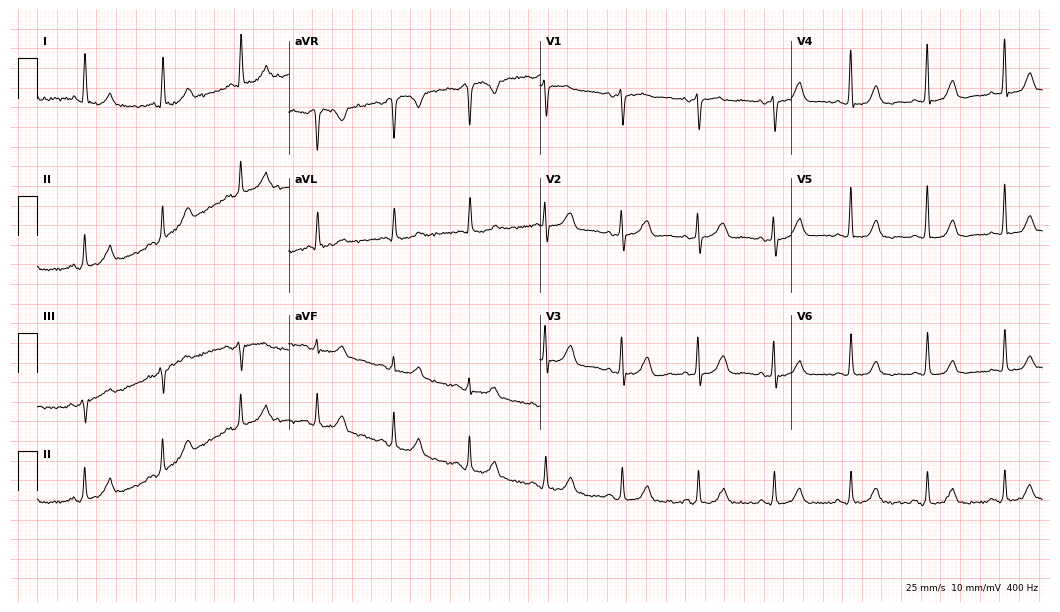
Resting 12-lead electrocardiogram. Patient: a 74-year-old female. None of these six findings is recorded: first-degree AV block, right bundle branch block (RBBB), left bundle branch block (LBBB), sinus bradycardia, atrial fibrillation (AF), sinus tachycardia.